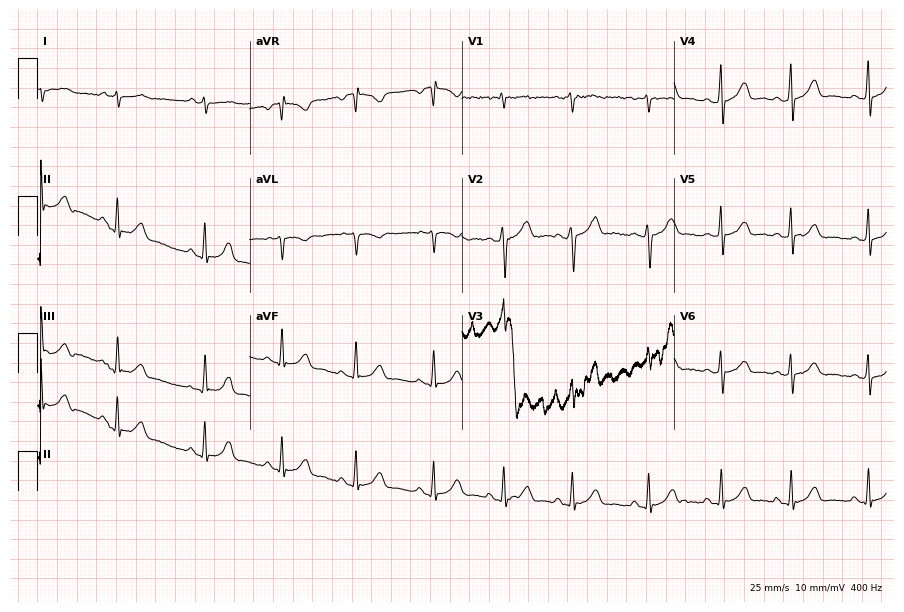
12-lead ECG from an 18-year-old woman (8.7-second recording at 400 Hz). No first-degree AV block, right bundle branch block (RBBB), left bundle branch block (LBBB), sinus bradycardia, atrial fibrillation (AF) or sinus tachycardia recorded for this tracing.